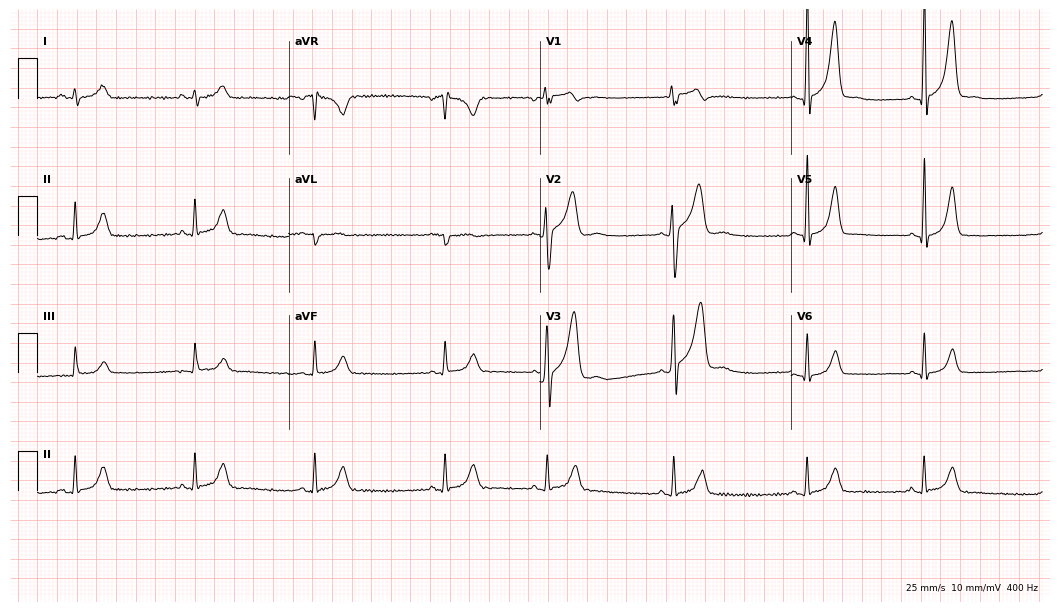
Standard 12-lead ECG recorded from a male patient, 21 years old. Read as a normal ECG.